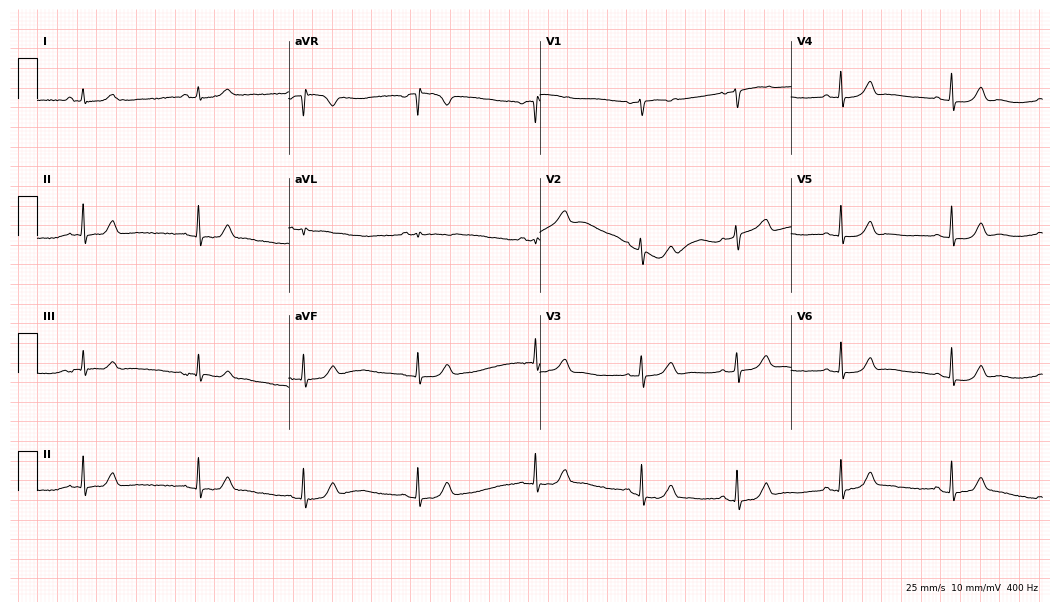
12-lead ECG from a female, 42 years old (10.2-second recording at 400 Hz). Recorded interpretation: within normal limits.